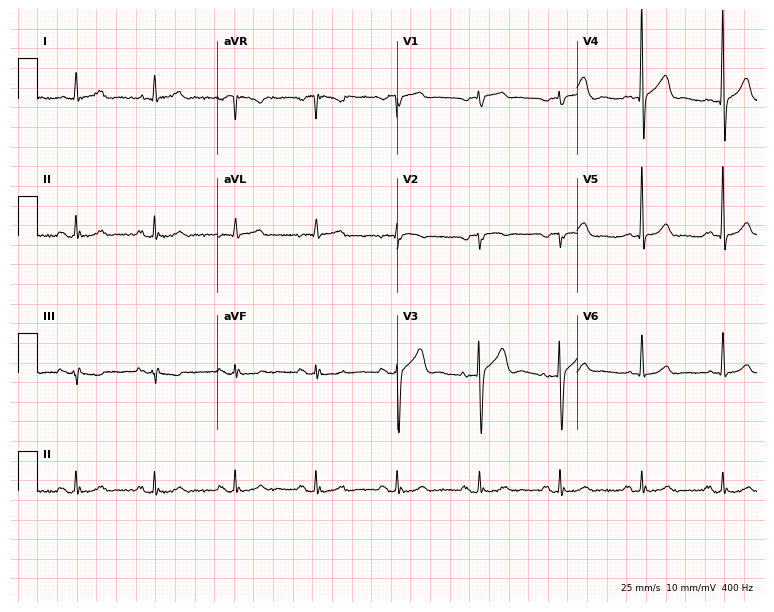
Resting 12-lead electrocardiogram. Patient: an 81-year-old male. Read as a normal ECG.